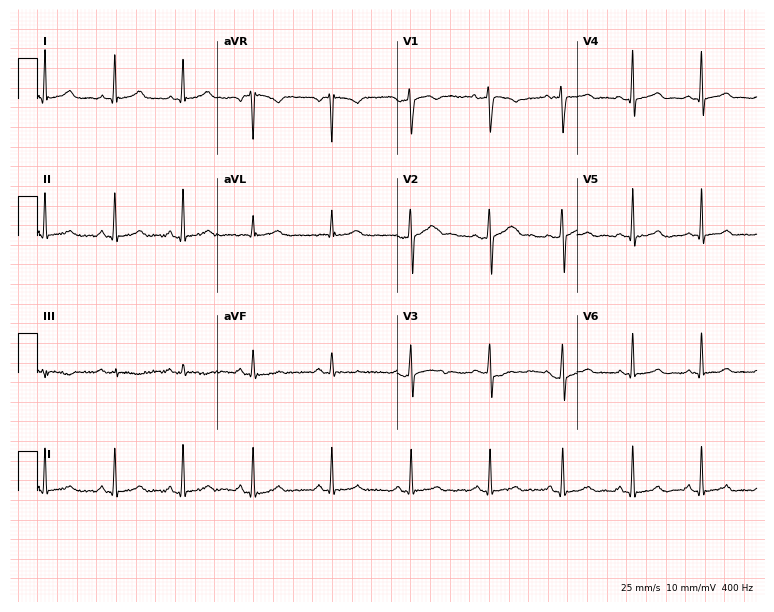
12-lead ECG (7.3-second recording at 400 Hz) from a 35-year-old female patient. Screened for six findings — first-degree AV block, right bundle branch block (RBBB), left bundle branch block (LBBB), sinus bradycardia, atrial fibrillation (AF), sinus tachycardia — none is recorded. Other findings, if any, are not listed.